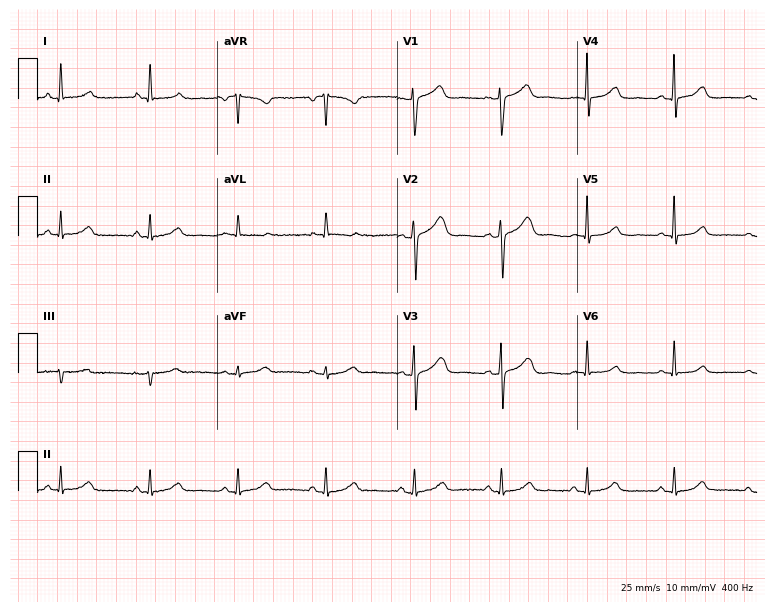
Standard 12-lead ECG recorded from a 69-year-old female (7.3-second recording at 400 Hz). Read as a normal ECG.